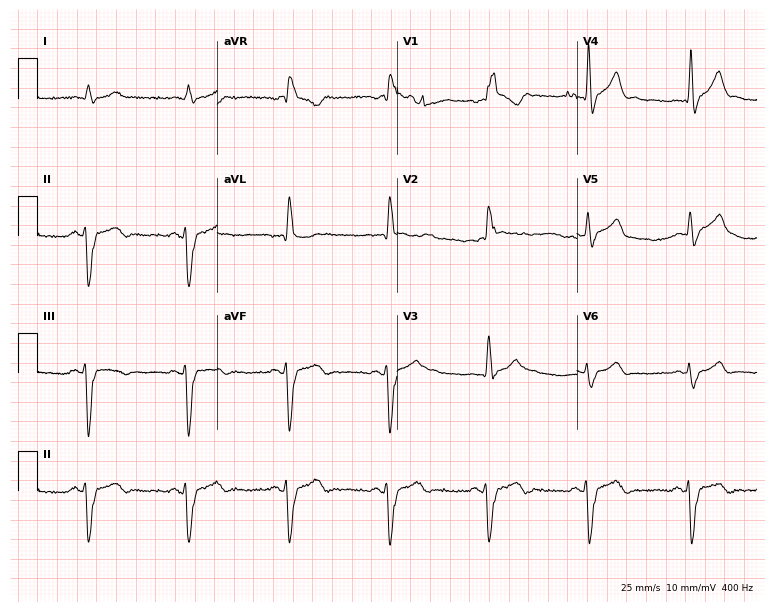
12-lead ECG from a 53-year-old man. Shows right bundle branch block.